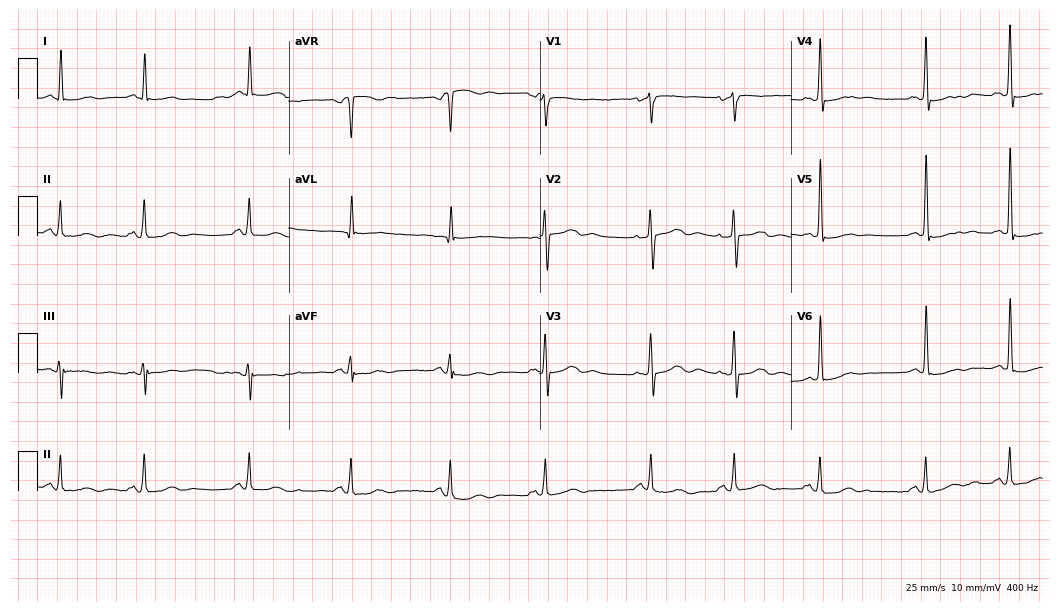
12-lead ECG (10.2-second recording at 400 Hz) from a woman, 76 years old. Screened for six findings — first-degree AV block, right bundle branch block, left bundle branch block, sinus bradycardia, atrial fibrillation, sinus tachycardia — none is recorded. Findings outside these six are not listed.